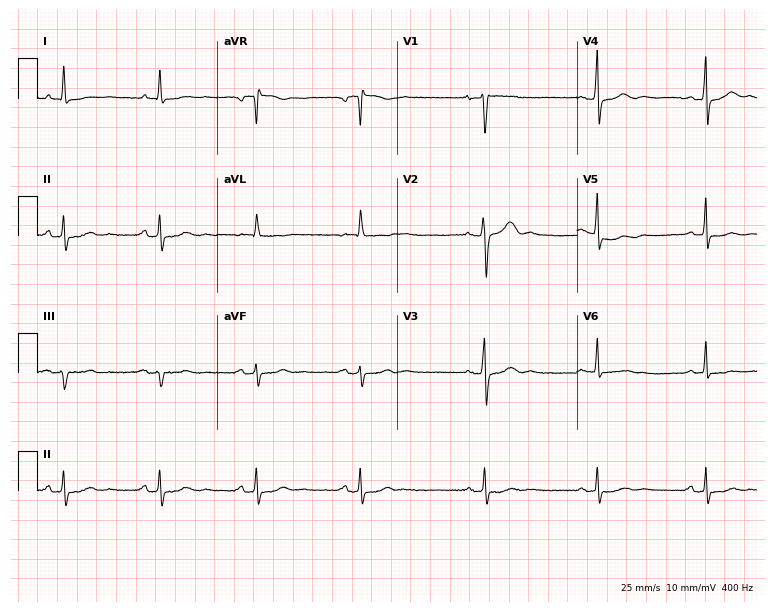
Electrocardiogram (7.3-second recording at 400 Hz), a female, 63 years old. Of the six screened findings (first-degree AV block, right bundle branch block, left bundle branch block, sinus bradycardia, atrial fibrillation, sinus tachycardia), none is recorded. Only these six findings were labelled.